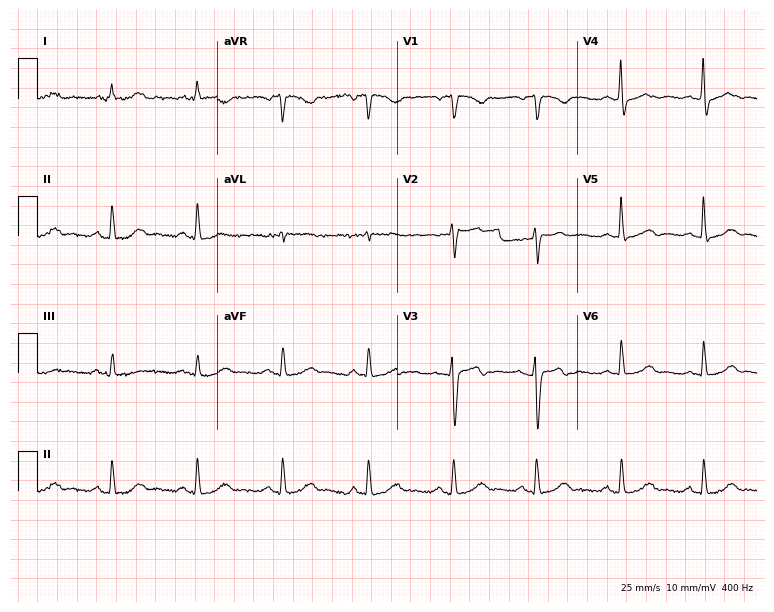
12-lead ECG from a 50-year-old woman (7.3-second recording at 400 Hz). Recorded interpretation: within normal limits.